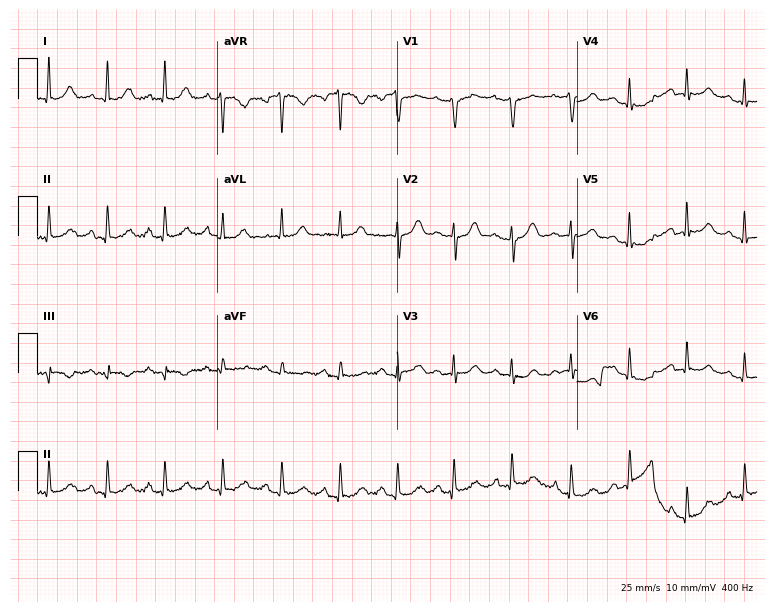
Electrocardiogram (7.3-second recording at 400 Hz), a woman, 51 years old. Of the six screened findings (first-degree AV block, right bundle branch block, left bundle branch block, sinus bradycardia, atrial fibrillation, sinus tachycardia), none is recorded. Findings outside these six are not listed.